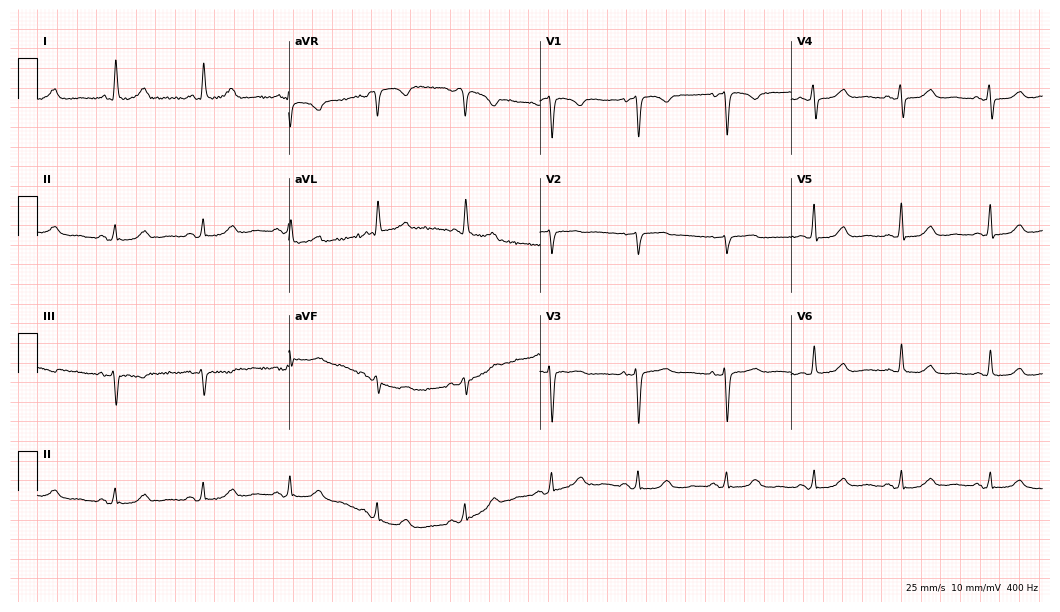
ECG (10.2-second recording at 400 Hz) — a female patient, 66 years old. Labelled as a normal ECG.